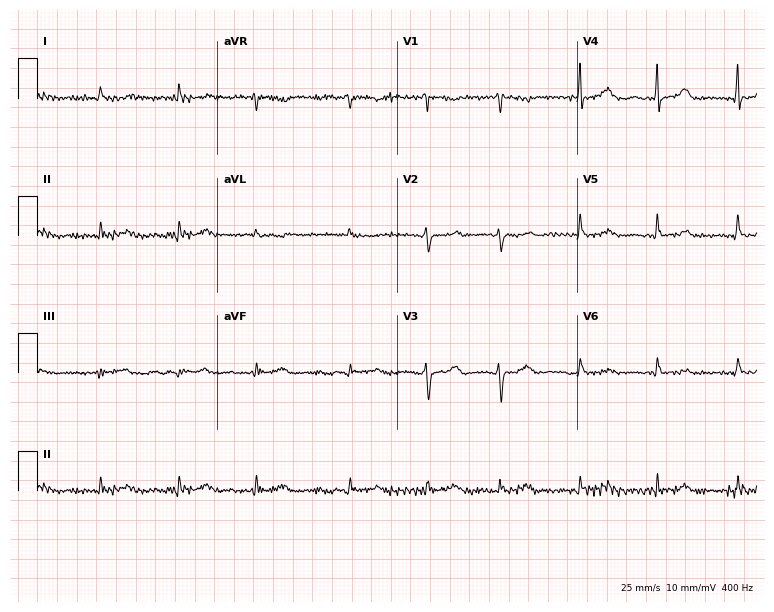
Electrocardiogram, a man, 84 years old. Of the six screened findings (first-degree AV block, right bundle branch block, left bundle branch block, sinus bradycardia, atrial fibrillation, sinus tachycardia), none is recorded.